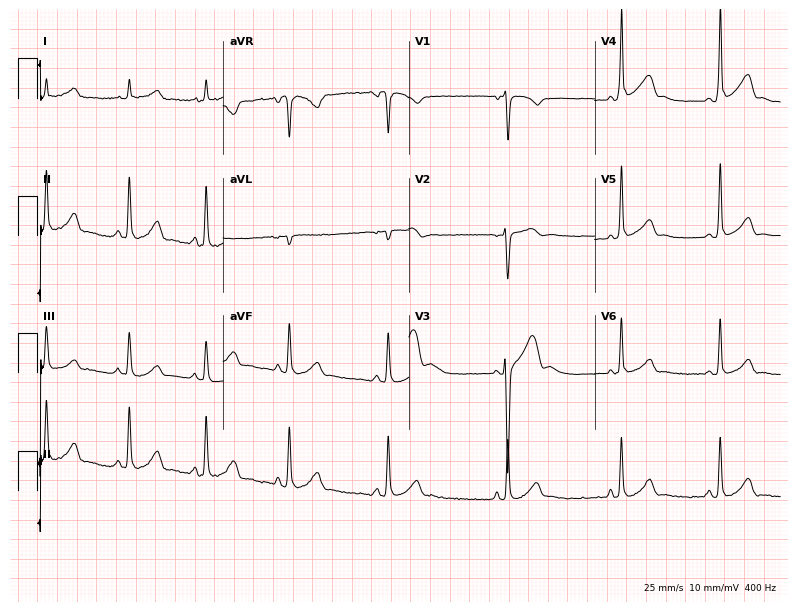
Electrocardiogram (7.6-second recording at 400 Hz), an 18-year-old male patient. Of the six screened findings (first-degree AV block, right bundle branch block, left bundle branch block, sinus bradycardia, atrial fibrillation, sinus tachycardia), none is recorded.